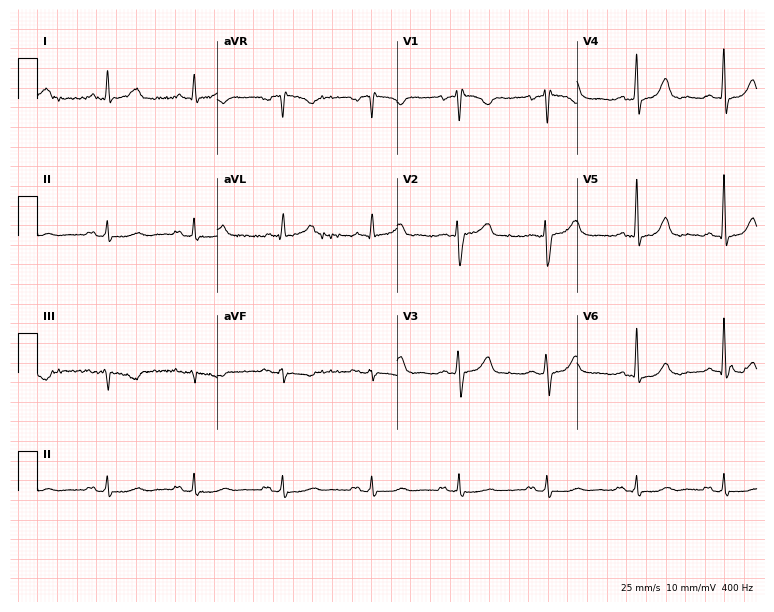
12-lead ECG from a female patient, 65 years old. No first-degree AV block, right bundle branch block (RBBB), left bundle branch block (LBBB), sinus bradycardia, atrial fibrillation (AF) or sinus tachycardia recorded for this tracing.